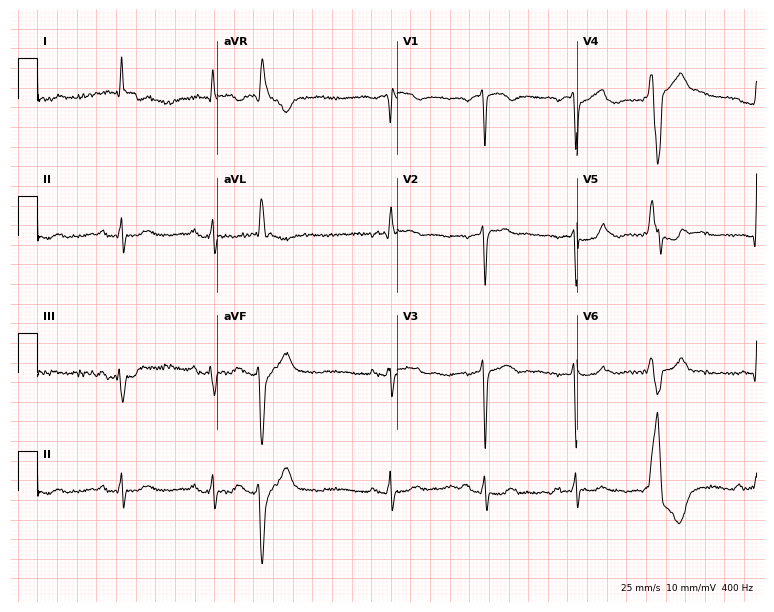
12-lead ECG from an 81-year-old man (7.3-second recording at 400 Hz). No first-degree AV block, right bundle branch block, left bundle branch block, sinus bradycardia, atrial fibrillation or sinus tachycardia recorded for this tracing.